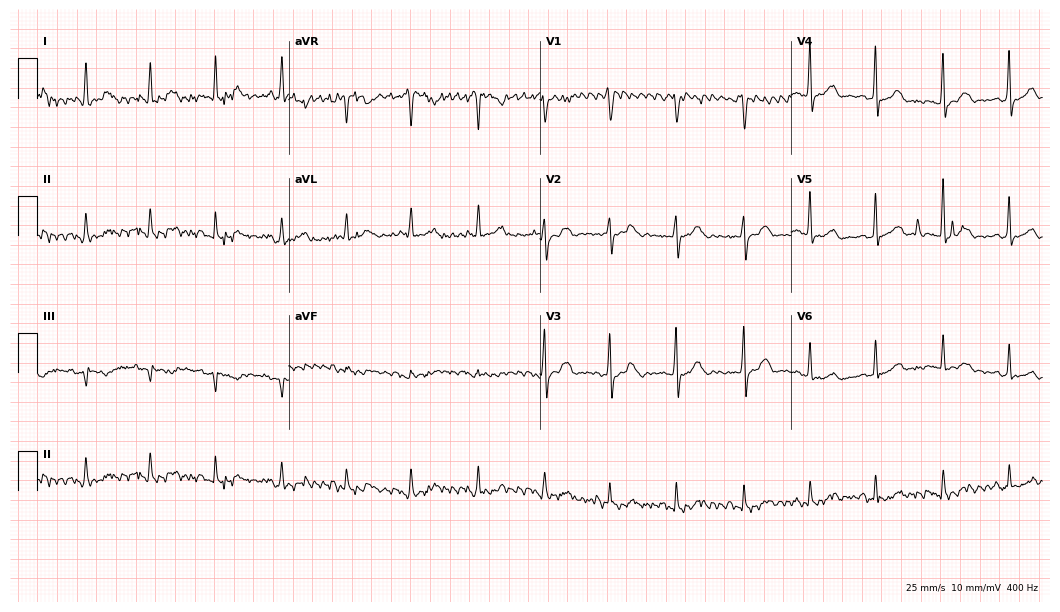
12-lead ECG from a female, 50 years old. Screened for six findings — first-degree AV block, right bundle branch block, left bundle branch block, sinus bradycardia, atrial fibrillation, sinus tachycardia — none is recorded. Other findings, if any, are not listed.